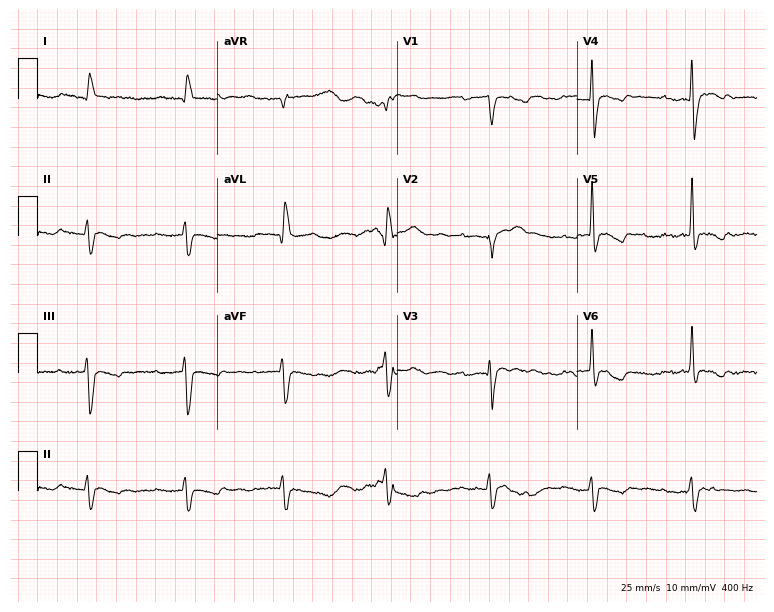
Resting 12-lead electrocardiogram (7.3-second recording at 400 Hz). Patient: an 85-year-old male. None of these six findings is recorded: first-degree AV block, right bundle branch block, left bundle branch block, sinus bradycardia, atrial fibrillation, sinus tachycardia.